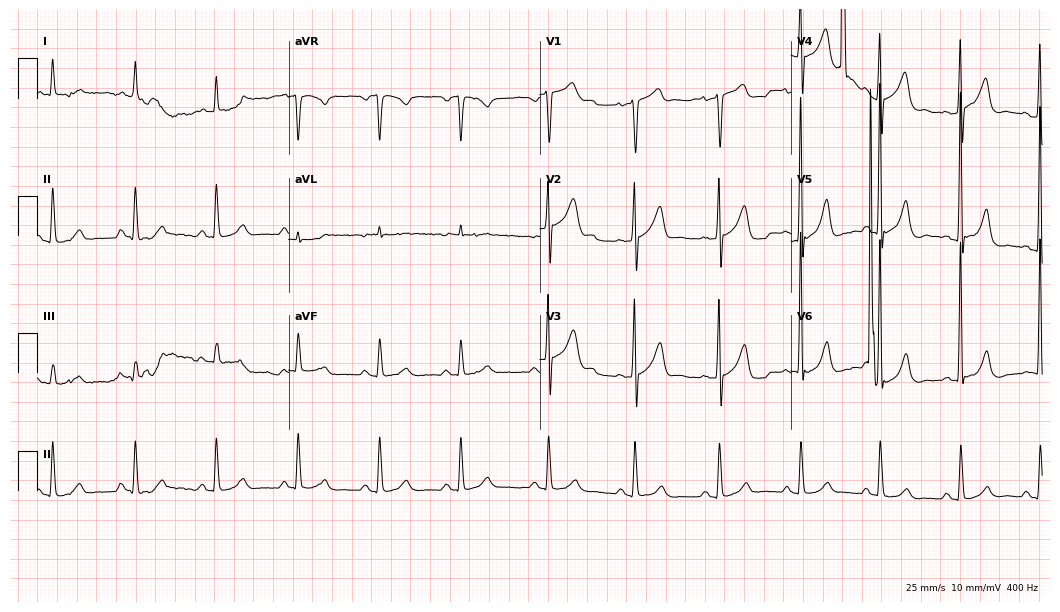
12-lead ECG from a male patient, 79 years old. No first-degree AV block, right bundle branch block, left bundle branch block, sinus bradycardia, atrial fibrillation or sinus tachycardia recorded for this tracing. Findings outside these six are not listed.